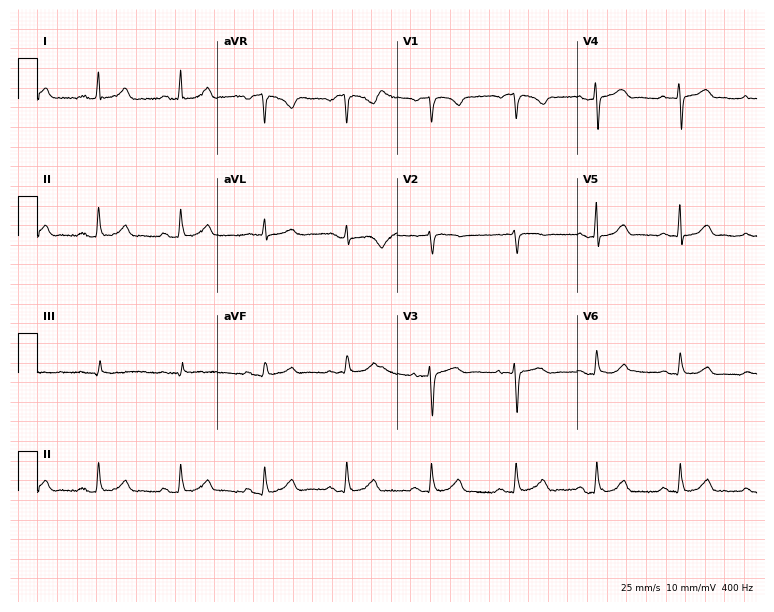
Resting 12-lead electrocardiogram. Patient: a woman, 50 years old. Read as a normal ECG.